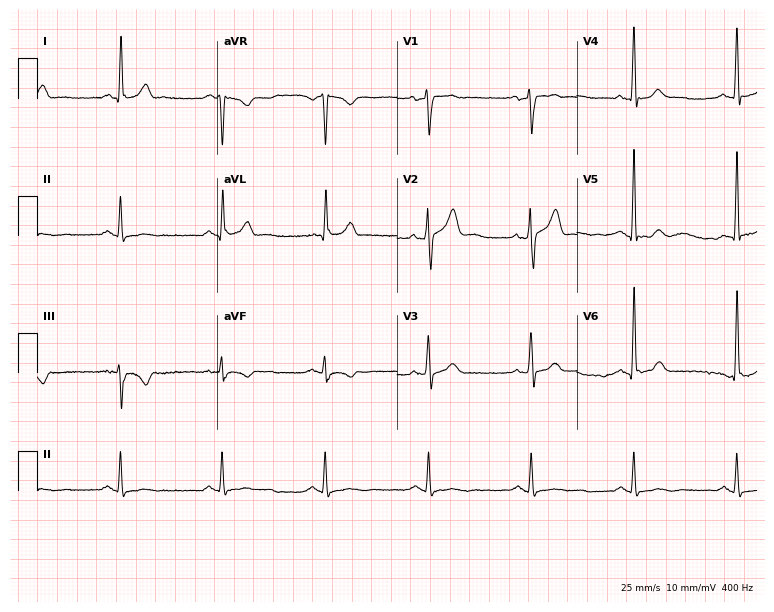
12-lead ECG from a 58-year-old man (7.3-second recording at 400 Hz). No first-degree AV block, right bundle branch block, left bundle branch block, sinus bradycardia, atrial fibrillation or sinus tachycardia recorded for this tracing. Other findings, if any, are not listed.